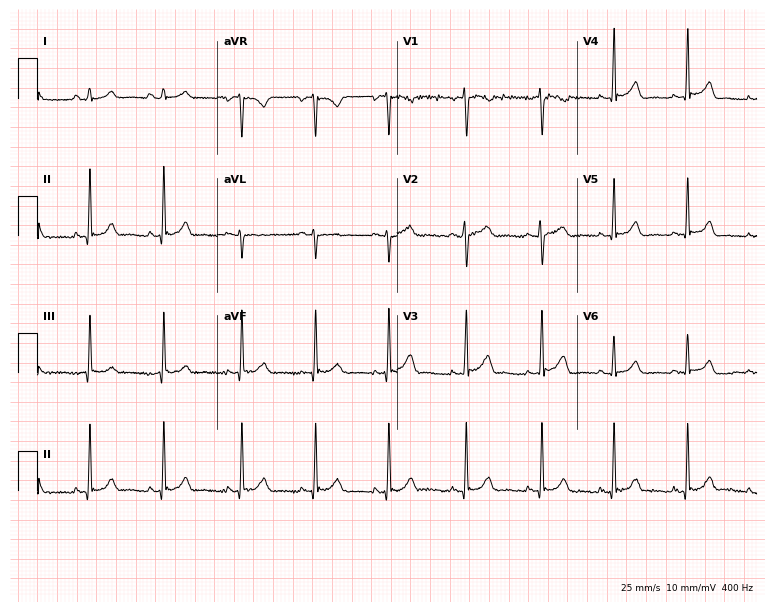
12-lead ECG (7.3-second recording at 400 Hz) from a woman, 21 years old. Screened for six findings — first-degree AV block, right bundle branch block, left bundle branch block, sinus bradycardia, atrial fibrillation, sinus tachycardia — none is recorded. Other findings, if any, are not listed.